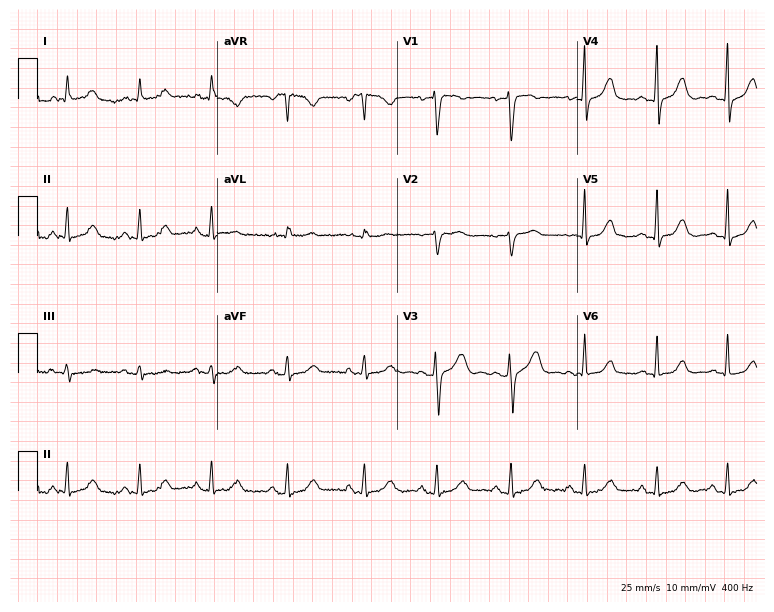
Resting 12-lead electrocardiogram. Patient: a 47-year-old female. Read as a normal ECG.